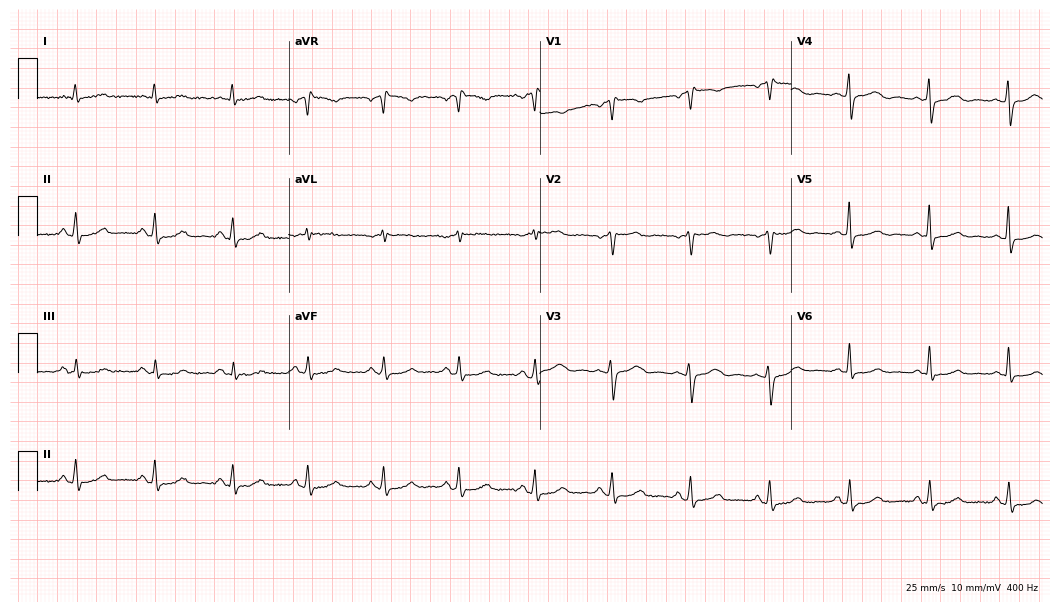
Electrocardiogram, a 57-year-old female patient. Of the six screened findings (first-degree AV block, right bundle branch block, left bundle branch block, sinus bradycardia, atrial fibrillation, sinus tachycardia), none is recorded.